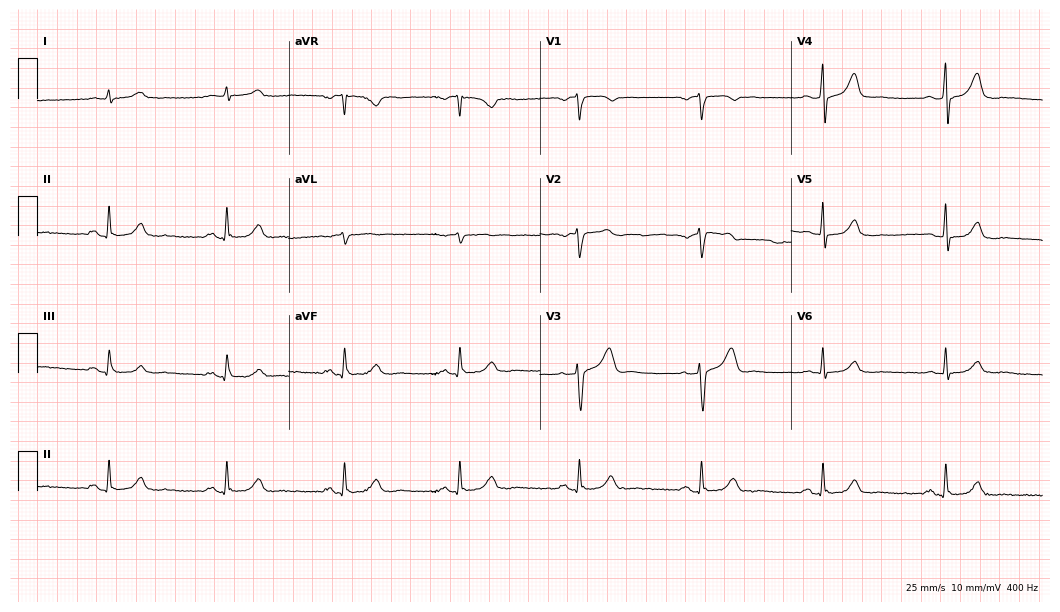
12-lead ECG (10.2-second recording at 400 Hz) from a male, 69 years old. Findings include sinus bradycardia (a sinus rate of 50 beats per minute or less).